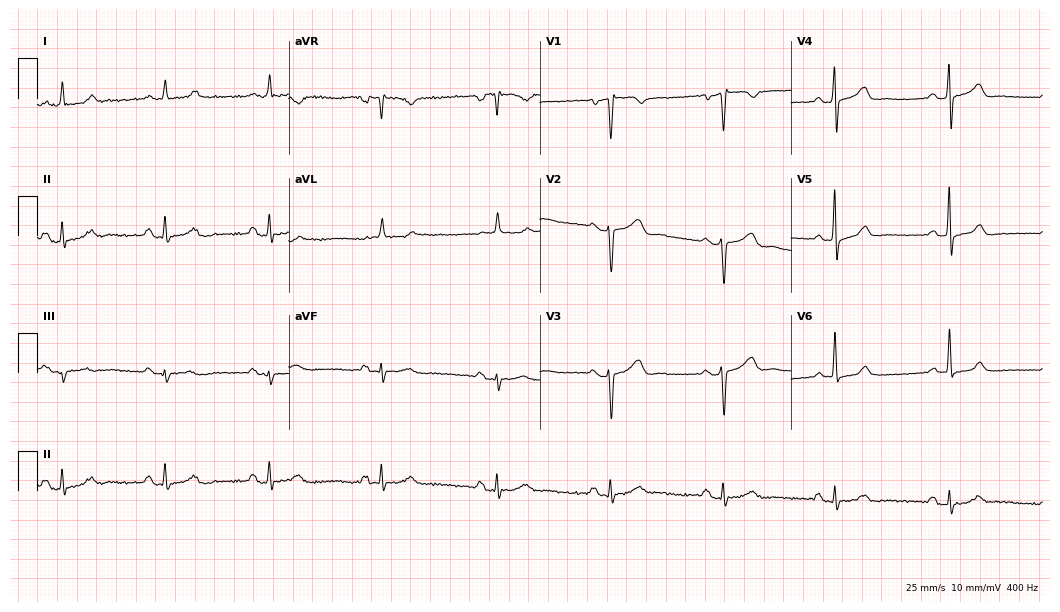
Standard 12-lead ECG recorded from a 32-year-old male (10.2-second recording at 400 Hz). None of these six findings is recorded: first-degree AV block, right bundle branch block, left bundle branch block, sinus bradycardia, atrial fibrillation, sinus tachycardia.